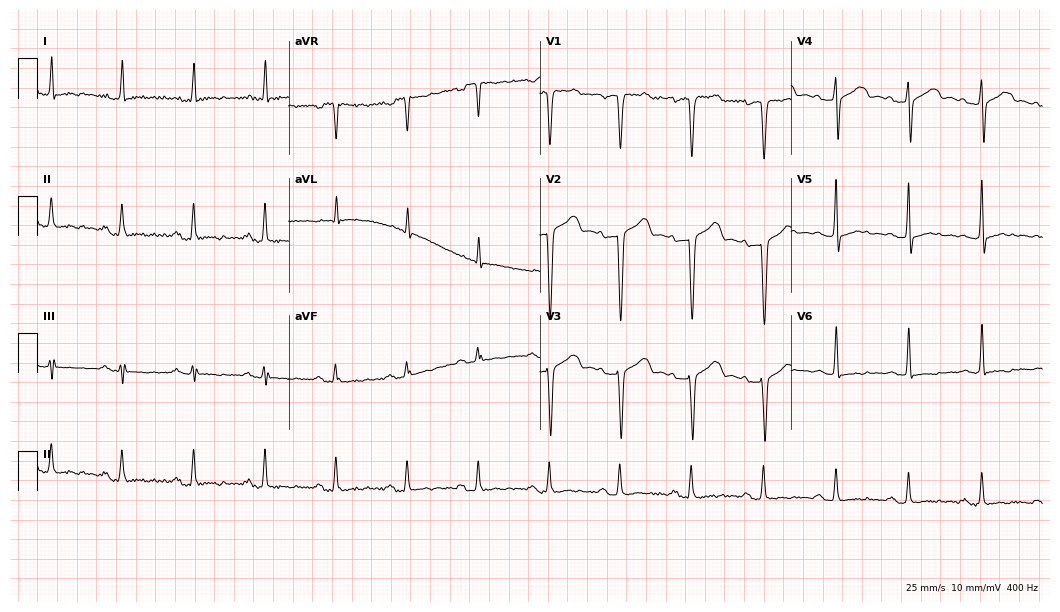
Standard 12-lead ECG recorded from a man, 61 years old. None of these six findings is recorded: first-degree AV block, right bundle branch block (RBBB), left bundle branch block (LBBB), sinus bradycardia, atrial fibrillation (AF), sinus tachycardia. Other findings, if any, are not listed.